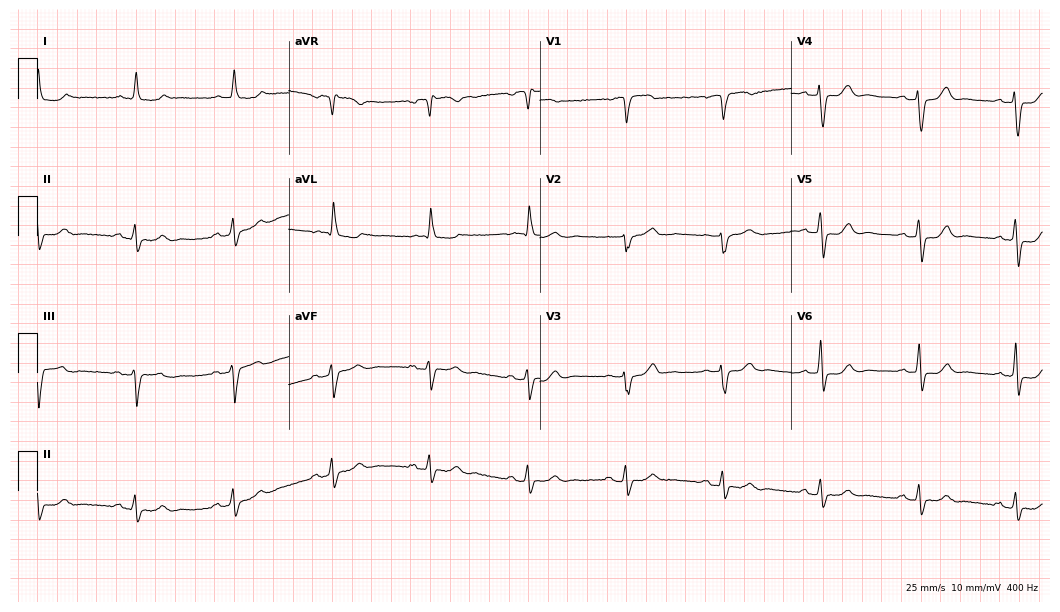
Resting 12-lead electrocardiogram (10.2-second recording at 400 Hz). Patient: a woman, 78 years old. None of these six findings is recorded: first-degree AV block, right bundle branch block, left bundle branch block, sinus bradycardia, atrial fibrillation, sinus tachycardia.